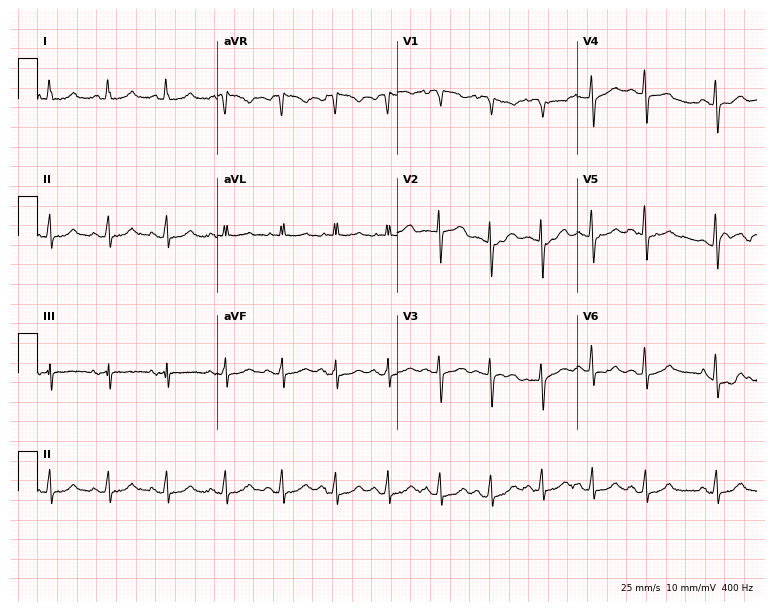
12-lead ECG from an 81-year-old woman (7.3-second recording at 400 Hz). Shows sinus tachycardia (a sinus rate of 100 beats per minute or more).